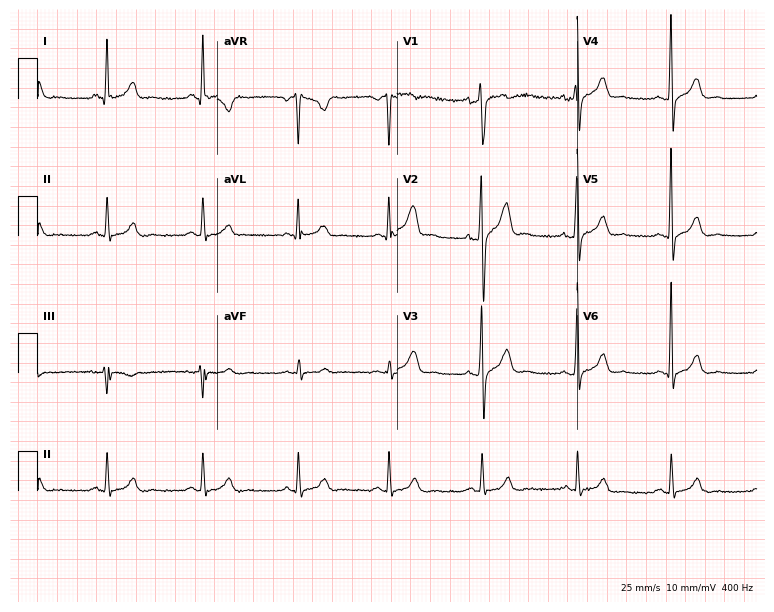
12-lead ECG from a 34-year-old male (7.3-second recording at 400 Hz). No first-degree AV block, right bundle branch block, left bundle branch block, sinus bradycardia, atrial fibrillation or sinus tachycardia recorded for this tracing. Findings outside these six are not listed.